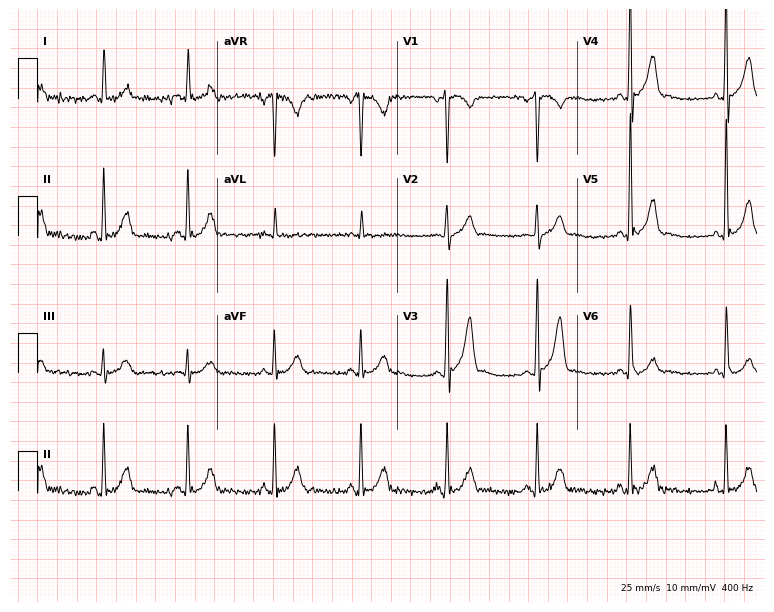
Resting 12-lead electrocardiogram (7.3-second recording at 400 Hz). Patient: a male, 44 years old. None of these six findings is recorded: first-degree AV block, right bundle branch block, left bundle branch block, sinus bradycardia, atrial fibrillation, sinus tachycardia. Findings outside these six are not listed.